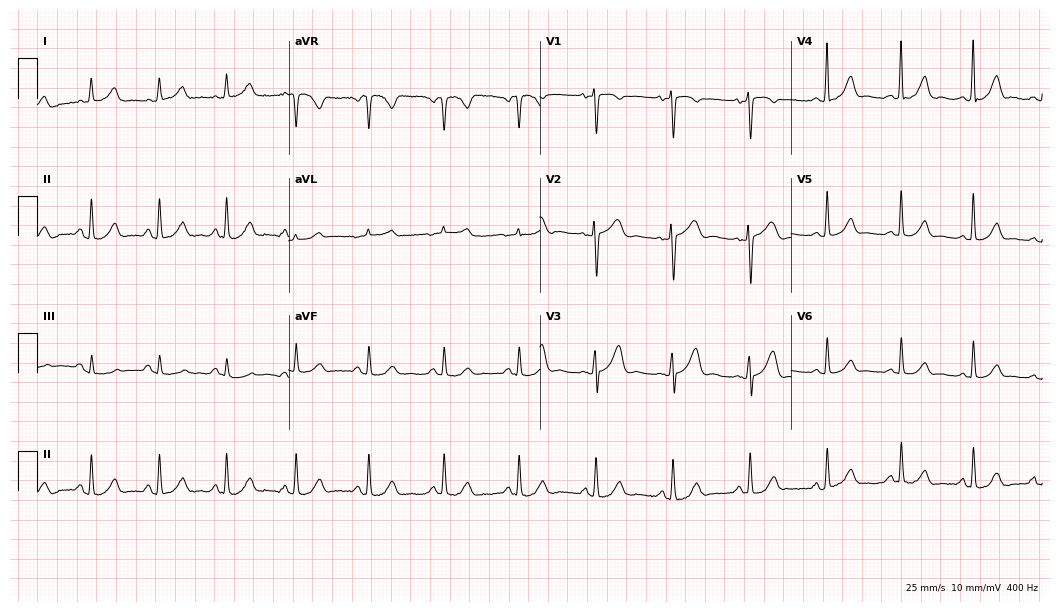
Resting 12-lead electrocardiogram. Patient: a woman, 62 years old. None of these six findings is recorded: first-degree AV block, right bundle branch block, left bundle branch block, sinus bradycardia, atrial fibrillation, sinus tachycardia. Other findings, if any, are not listed.